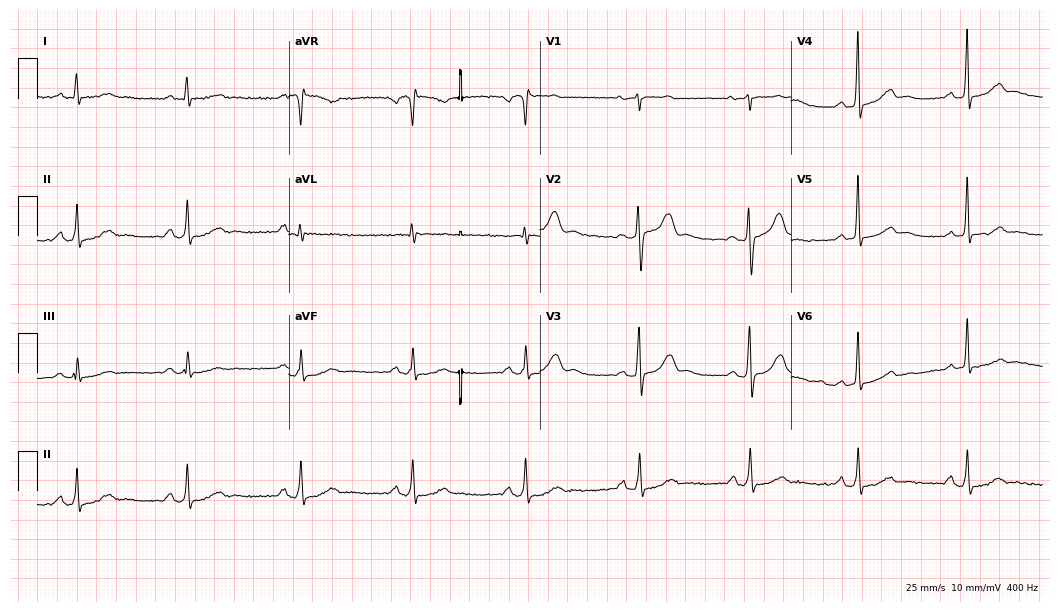
Standard 12-lead ECG recorded from a 31-year-old woman. Read as a normal ECG.